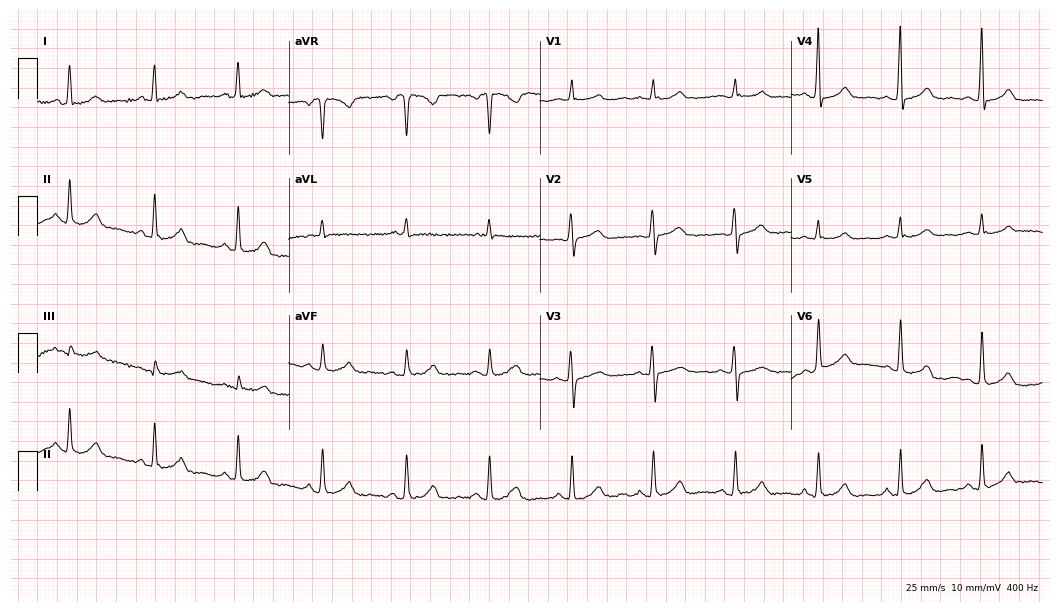
ECG — a 58-year-old female. Labelled as a normal ECG.